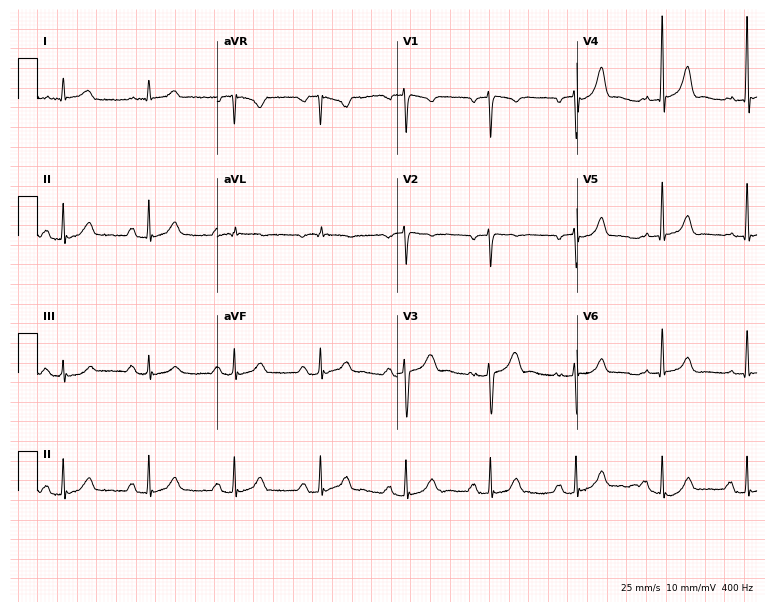
Resting 12-lead electrocardiogram. Patient: a man, 58 years old. Read as a normal ECG.